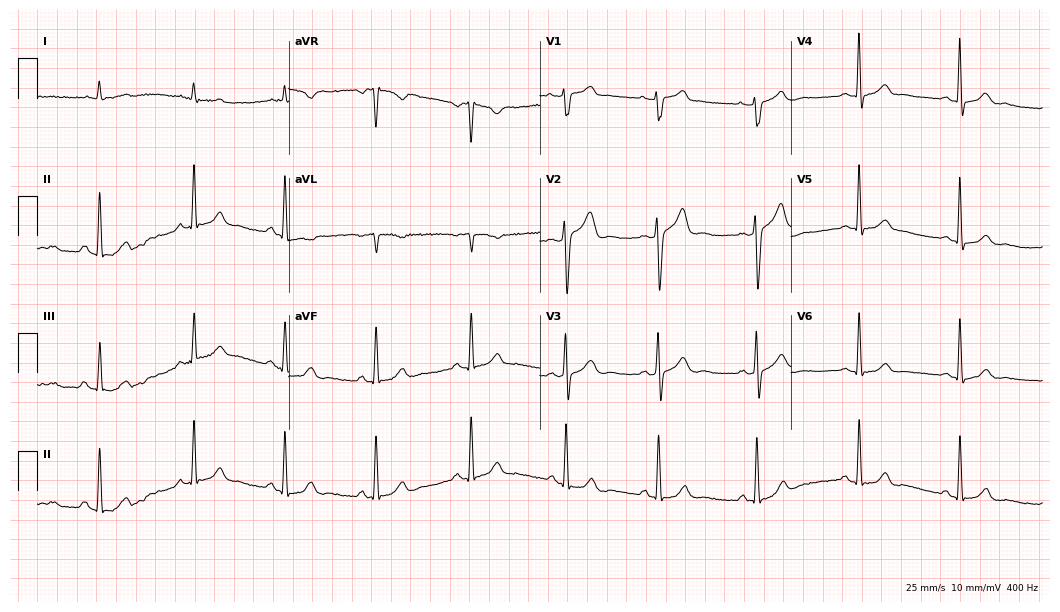
Resting 12-lead electrocardiogram. Patient: a 61-year-old man. Read as a normal ECG.